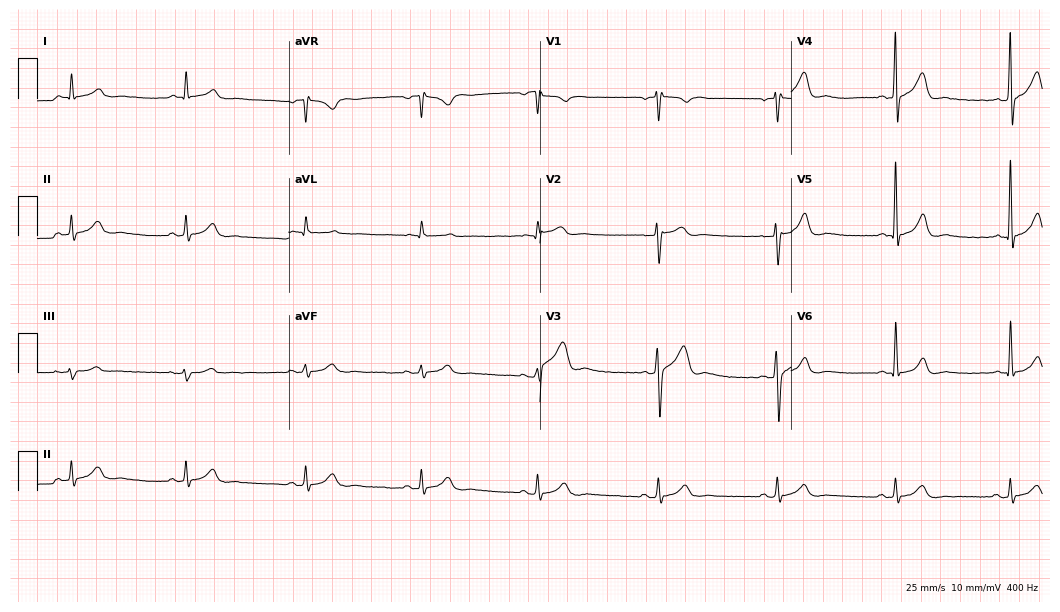
12-lead ECG from a 37-year-old male (10.2-second recording at 400 Hz). No first-degree AV block, right bundle branch block, left bundle branch block, sinus bradycardia, atrial fibrillation or sinus tachycardia recorded for this tracing.